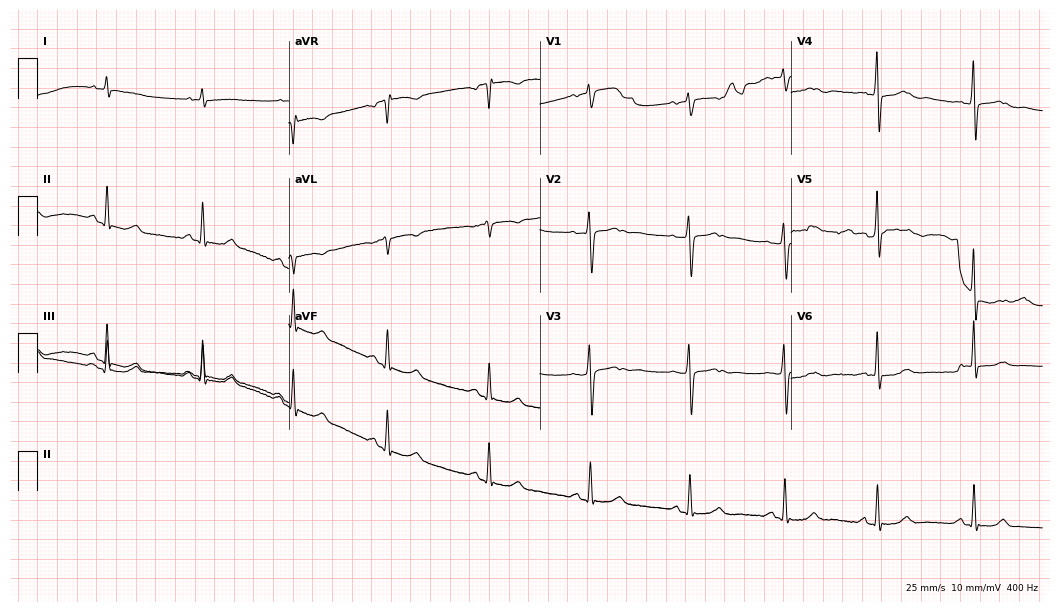
ECG (10.2-second recording at 400 Hz) — a woman, 60 years old. Screened for six findings — first-degree AV block, right bundle branch block, left bundle branch block, sinus bradycardia, atrial fibrillation, sinus tachycardia — none is recorded.